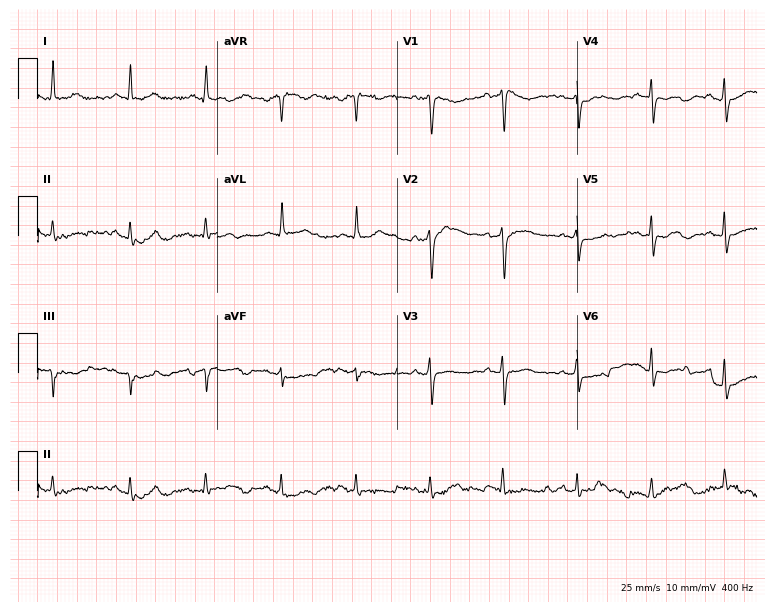
Electrocardiogram (7.3-second recording at 400 Hz), a woman, 80 years old. Of the six screened findings (first-degree AV block, right bundle branch block, left bundle branch block, sinus bradycardia, atrial fibrillation, sinus tachycardia), none is recorded.